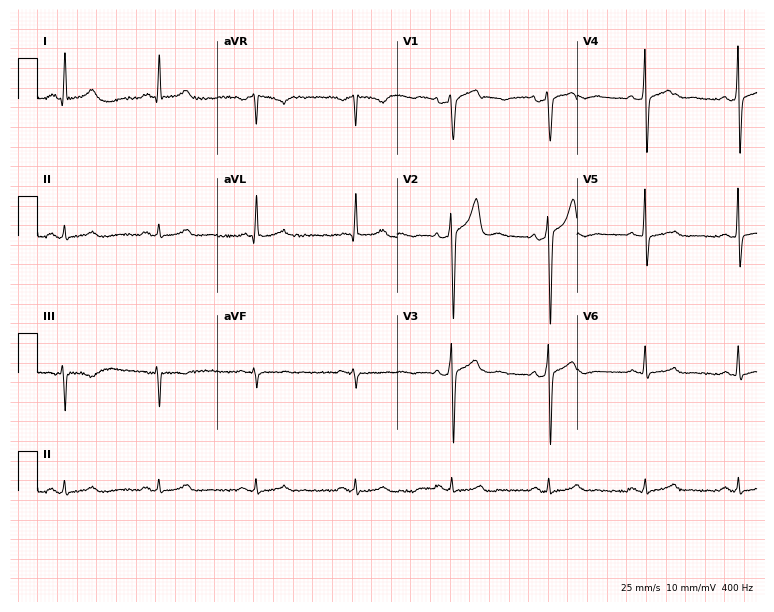
12-lead ECG from a 56-year-old male patient. Recorded interpretation: within normal limits.